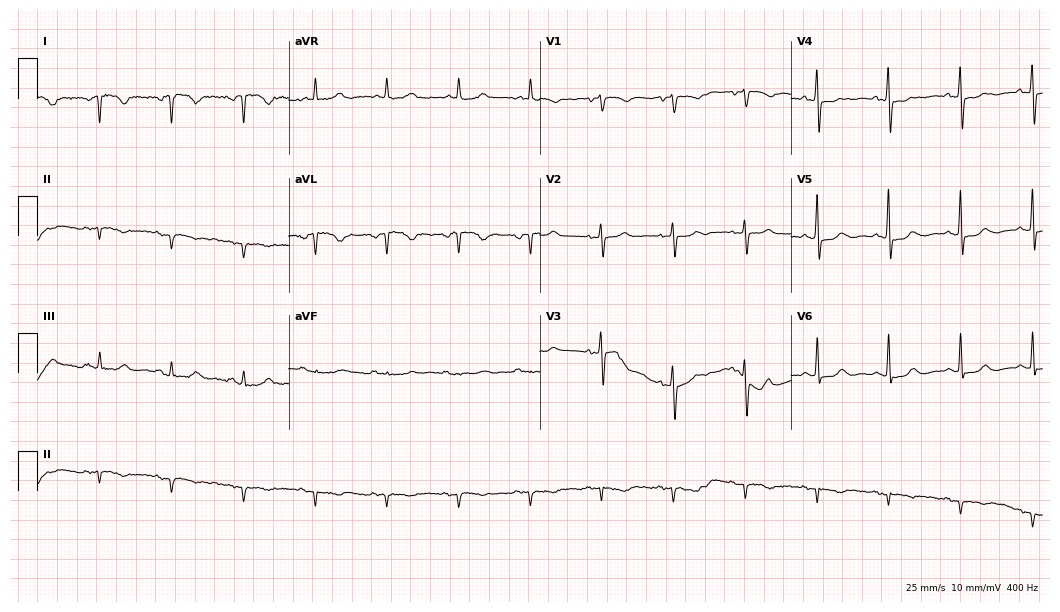
12-lead ECG from a 69-year-old female patient (10.2-second recording at 400 Hz). No first-degree AV block, right bundle branch block (RBBB), left bundle branch block (LBBB), sinus bradycardia, atrial fibrillation (AF) or sinus tachycardia recorded for this tracing. Only these six findings were labelled.